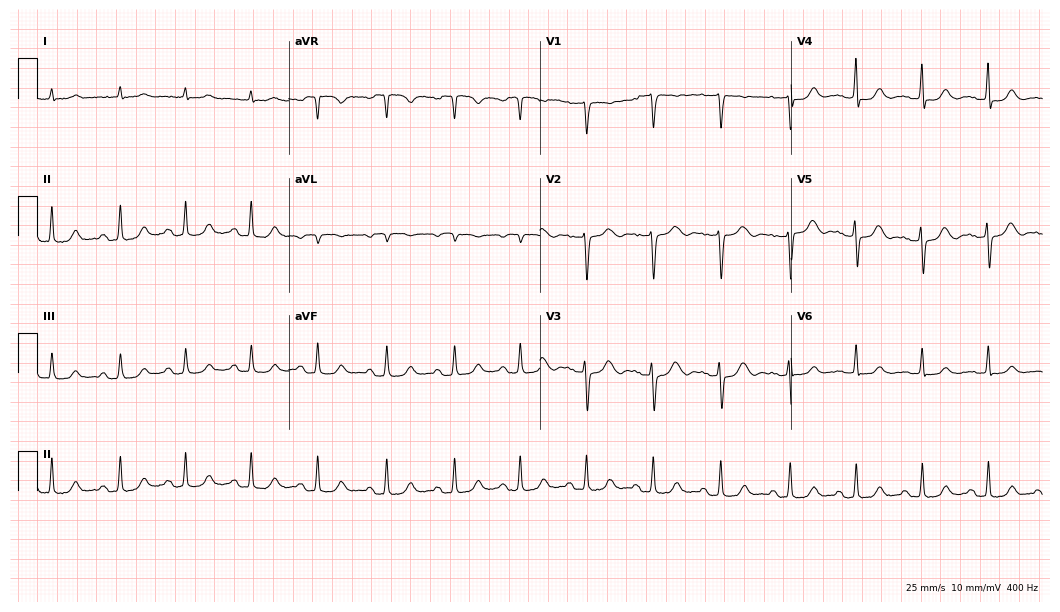
Electrocardiogram, a man, 85 years old. Of the six screened findings (first-degree AV block, right bundle branch block (RBBB), left bundle branch block (LBBB), sinus bradycardia, atrial fibrillation (AF), sinus tachycardia), none is recorded. Findings outside these six are not listed.